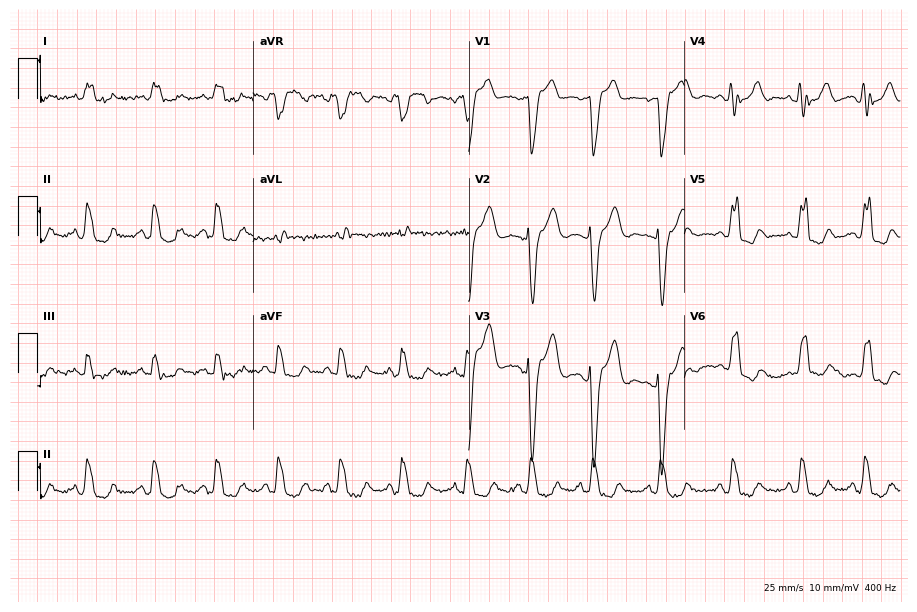
ECG — a 71-year-old female patient. Findings include left bundle branch block.